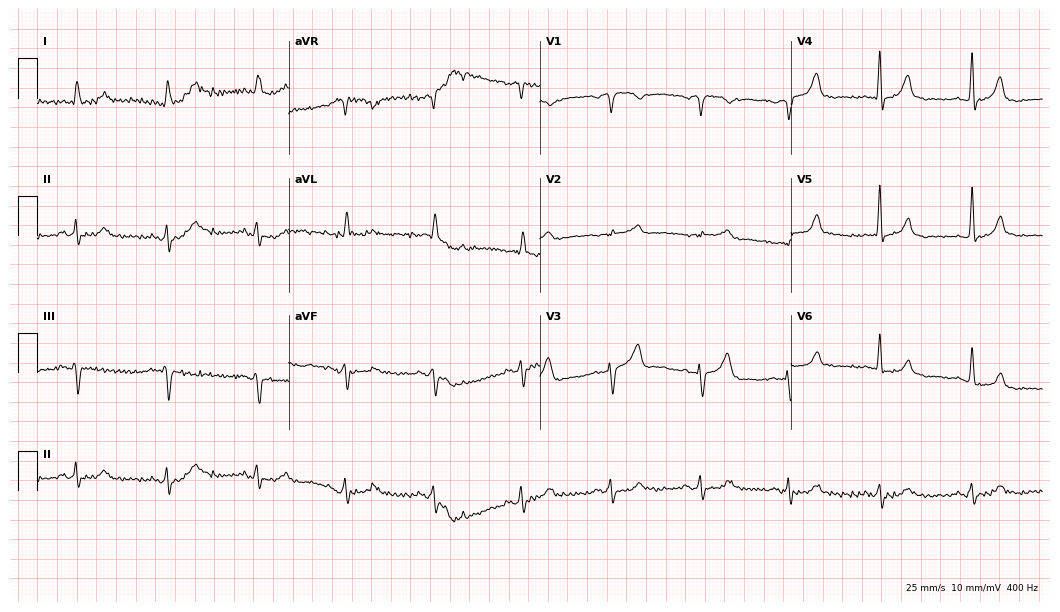
ECG — a man, 70 years old. Screened for six findings — first-degree AV block, right bundle branch block (RBBB), left bundle branch block (LBBB), sinus bradycardia, atrial fibrillation (AF), sinus tachycardia — none is recorded. Only these six findings were labelled.